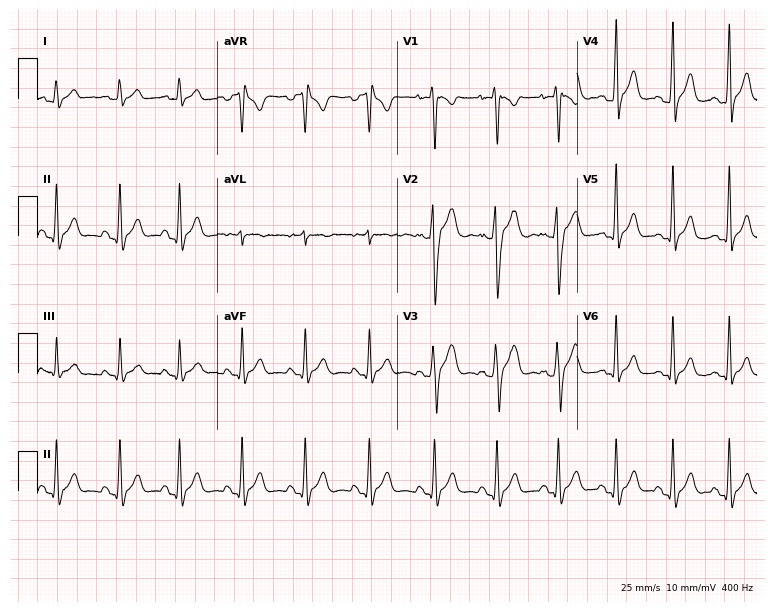
Resting 12-lead electrocardiogram. Patient: a male, 18 years old. Read as a normal ECG.